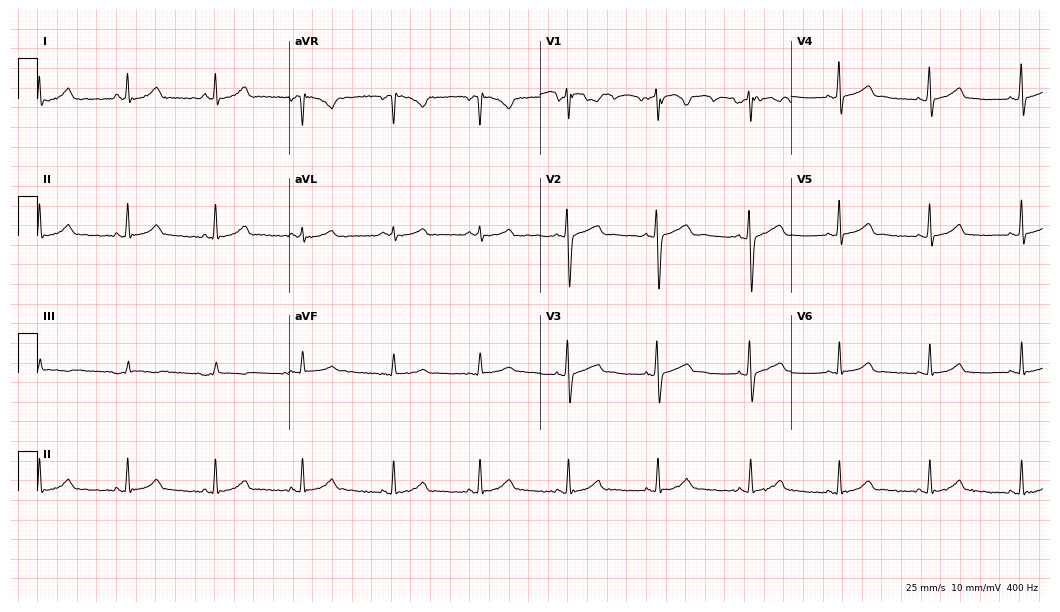
12-lead ECG from a woman, 21 years old. No first-degree AV block, right bundle branch block, left bundle branch block, sinus bradycardia, atrial fibrillation or sinus tachycardia recorded for this tracing.